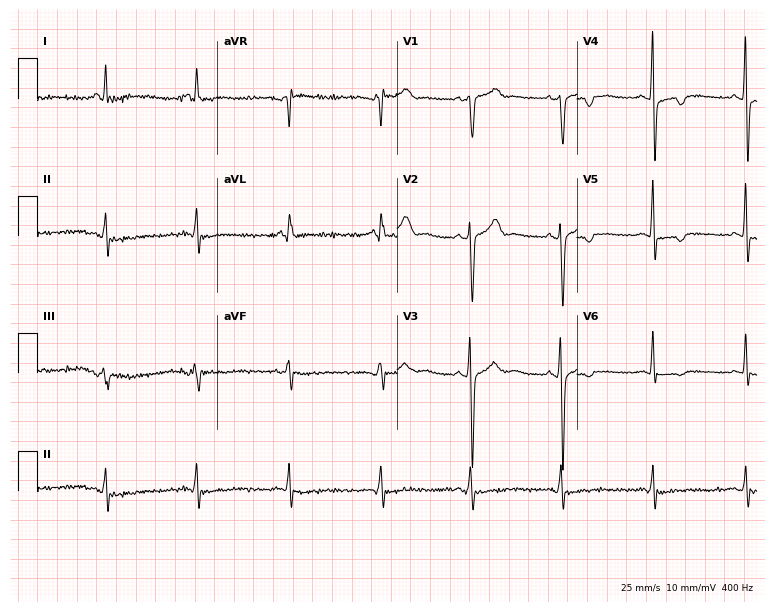
Electrocardiogram (7.3-second recording at 400 Hz), a male patient, 55 years old. Of the six screened findings (first-degree AV block, right bundle branch block, left bundle branch block, sinus bradycardia, atrial fibrillation, sinus tachycardia), none is recorded.